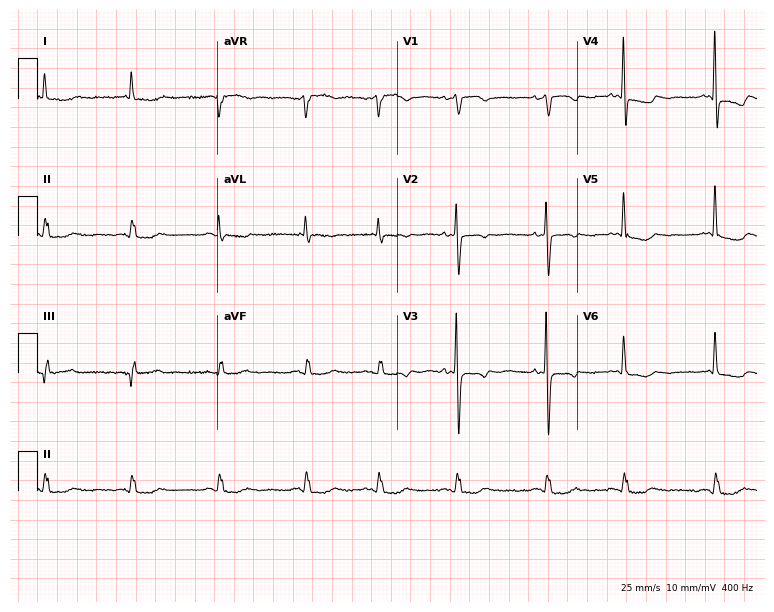
Electrocardiogram (7.3-second recording at 400 Hz), a female, 81 years old. Of the six screened findings (first-degree AV block, right bundle branch block, left bundle branch block, sinus bradycardia, atrial fibrillation, sinus tachycardia), none is recorded. Other findings, if any, are not listed.